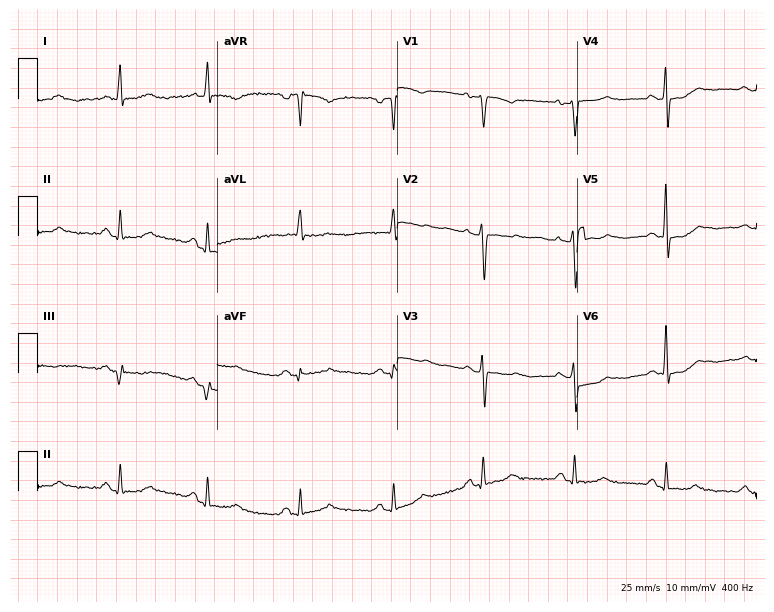
Resting 12-lead electrocardiogram (7.3-second recording at 400 Hz). Patient: a female, 69 years old. None of these six findings is recorded: first-degree AV block, right bundle branch block, left bundle branch block, sinus bradycardia, atrial fibrillation, sinus tachycardia.